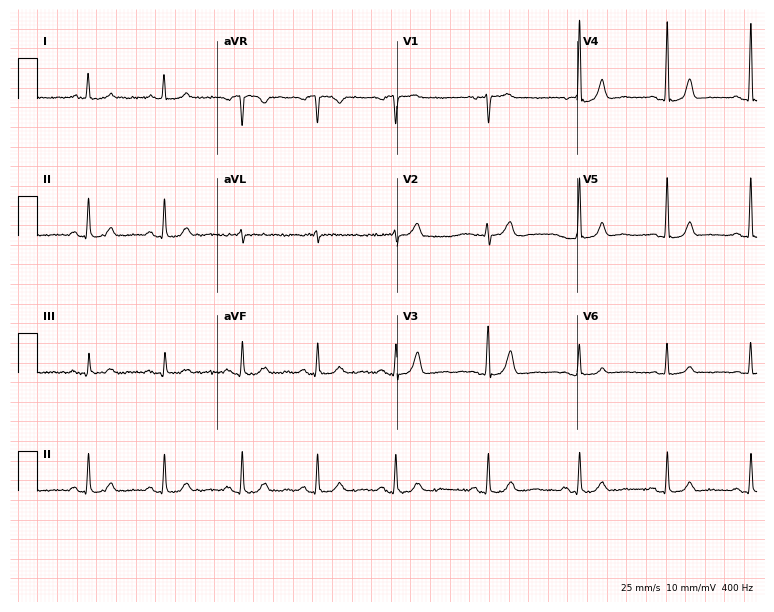
12-lead ECG from a female patient, 70 years old. Screened for six findings — first-degree AV block, right bundle branch block (RBBB), left bundle branch block (LBBB), sinus bradycardia, atrial fibrillation (AF), sinus tachycardia — none is recorded.